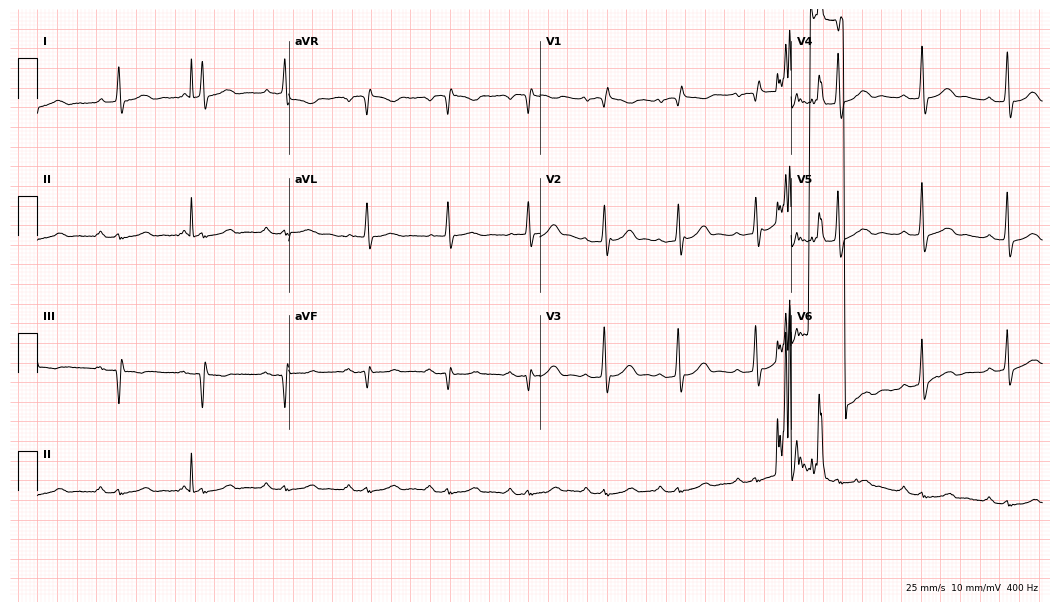
Standard 12-lead ECG recorded from an 80-year-old man. None of these six findings is recorded: first-degree AV block, right bundle branch block, left bundle branch block, sinus bradycardia, atrial fibrillation, sinus tachycardia.